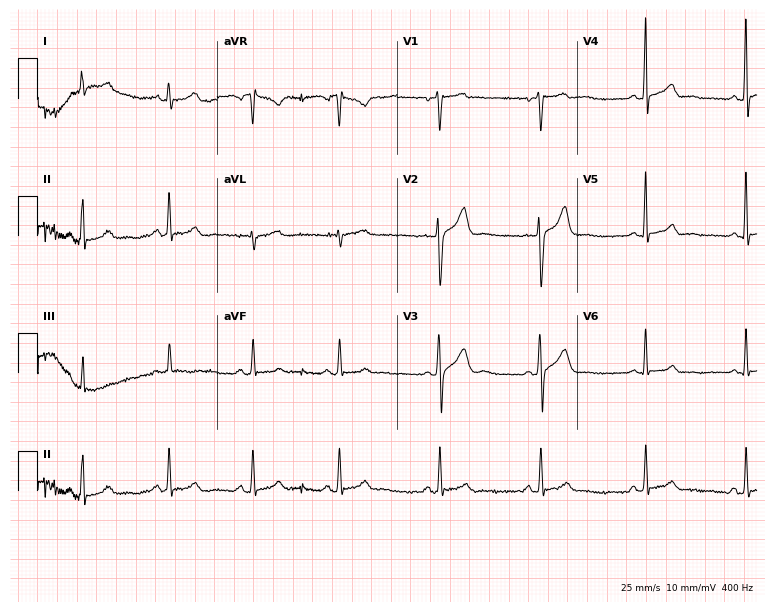
Electrocardiogram (7.3-second recording at 400 Hz), a male, 26 years old. Of the six screened findings (first-degree AV block, right bundle branch block, left bundle branch block, sinus bradycardia, atrial fibrillation, sinus tachycardia), none is recorded.